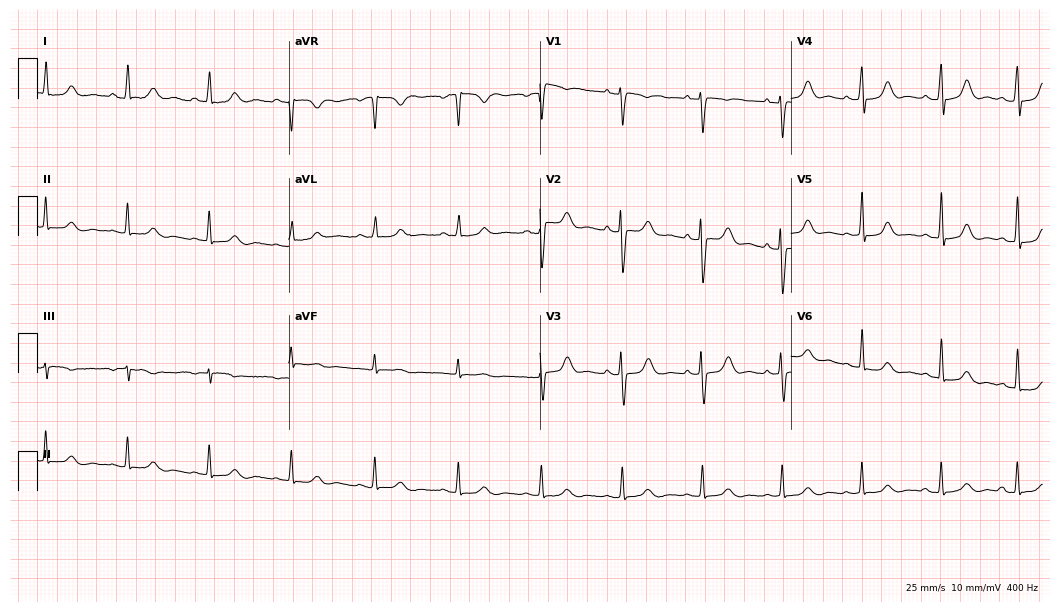
12-lead ECG from a 45-year-old female patient (10.2-second recording at 400 Hz). Recorded interpretation: within normal limits.